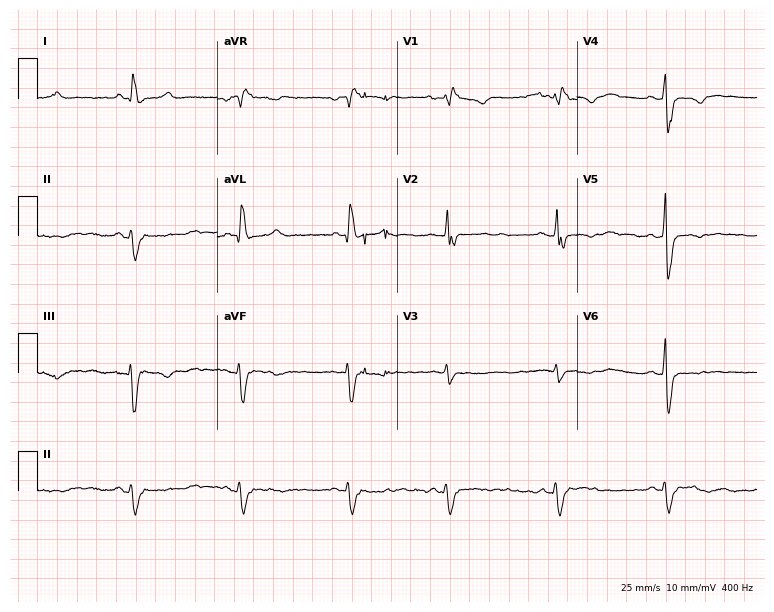
Electrocardiogram, a woman, 70 years old. Interpretation includes right bundle branch block.